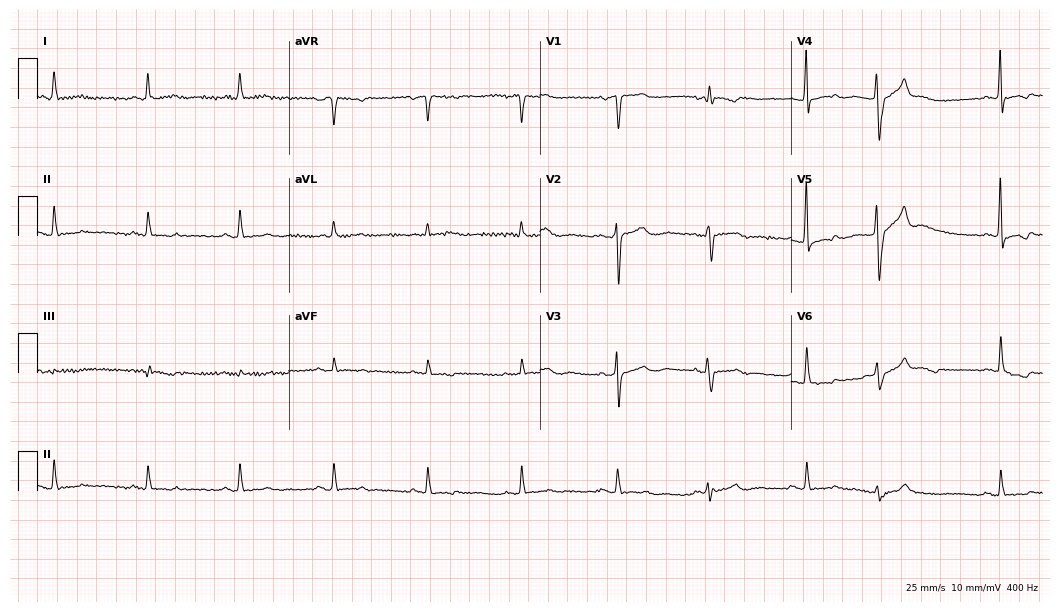
Electrocardiogram, an 82-year-old female. Of the six screened findings (first-degree AV block, right bundle branch block, left bundle branch block, sinus bradycardia, atrial fibrillation, sinus tachycardia), none is recorded.